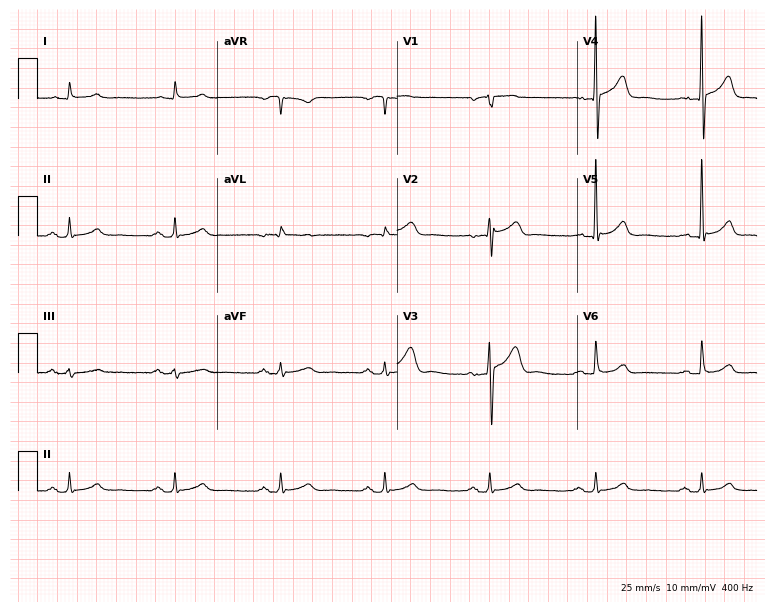
Standard 12-lead ECG recorded from a 77-year-old male patient (7.3-second recording at 400 Hz). None of these six findings is recorded: first-degree AV block, right bundle branch block, left bundle branch block, sinus bradycardia, atrial fibrillation, sinus tachycardia. Findings outside these six are not listed.